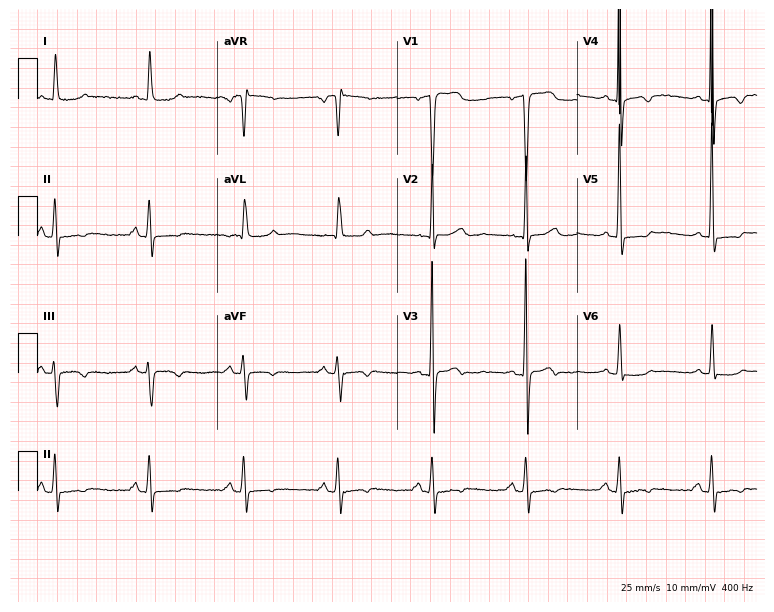
12-lead ECG from a female patient, 85 years old. Screened for six findings — first-degree AV block, right bundle branch block, left bundle branch block, sinus bradycardia, atrial fibrillation, sinus tachycardia — none is recorded. Findings outside these six are not listed.